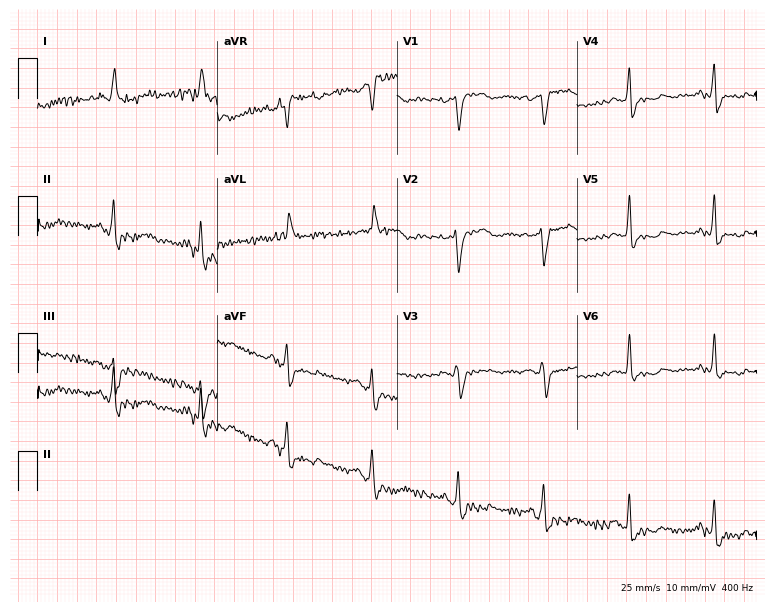
12-lead ECG from a female patient, 85 years old. No first-degree AV block, right bundle branch block, left bundle branch block, sinus bradycardia, atrial fibrillation or sinus tachycardia recorded for this tracing. Only these six findings were labelled.